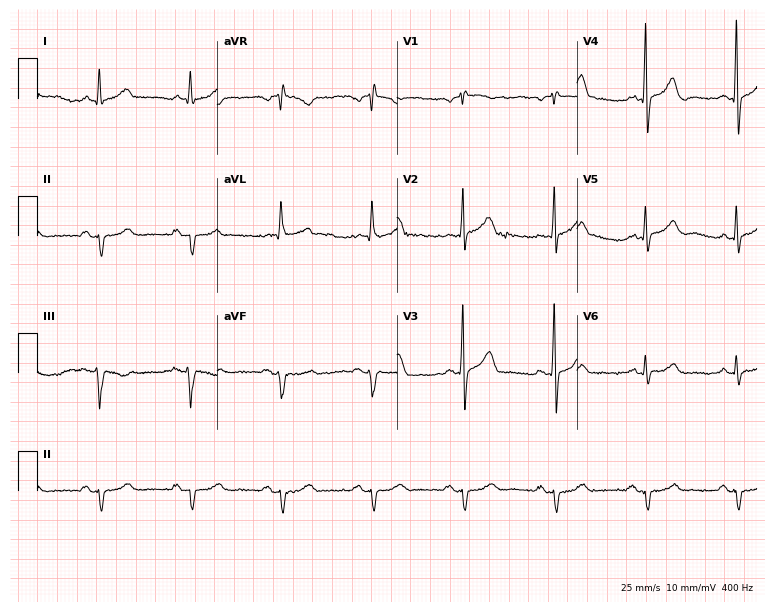
12-lead ECG from a 55-year-old man. Screened for six findings — first-degree AV block, right bundle branch block, left bundle branch block, sinus bradycardia, atrial fibrillation, sinus tachycardia — none is recorded. Only these six findings were labelled.